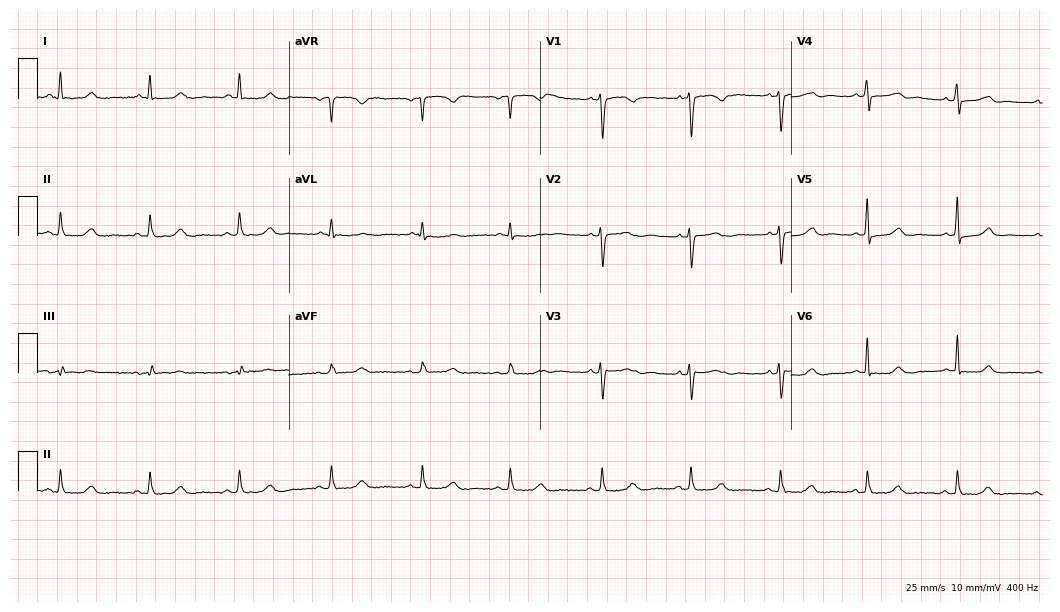
ECG — a 46-year-old female patient. Screened for six findings — first-degree AV block, right bundle branch block, left bundle branch block, sinus bradycardia, atrial fibrillation, sinus tachycardia — none is recorded. Only these six findings were labelled.